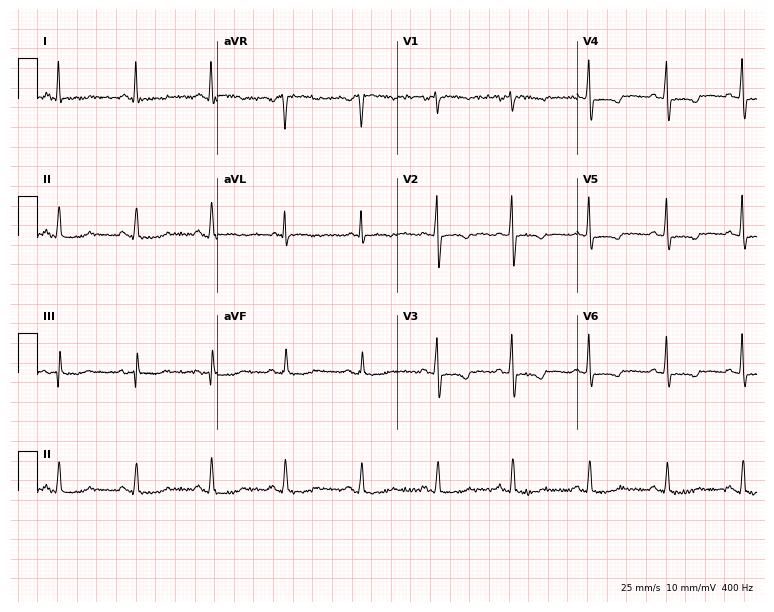
12-lead ECG from a 60-year-old woman. No first-degree AV block, right bundle branch block, left bundle branch block, sinus bradycardia, atrial fibrillation or sinus tachycardia recorded for this tracing.